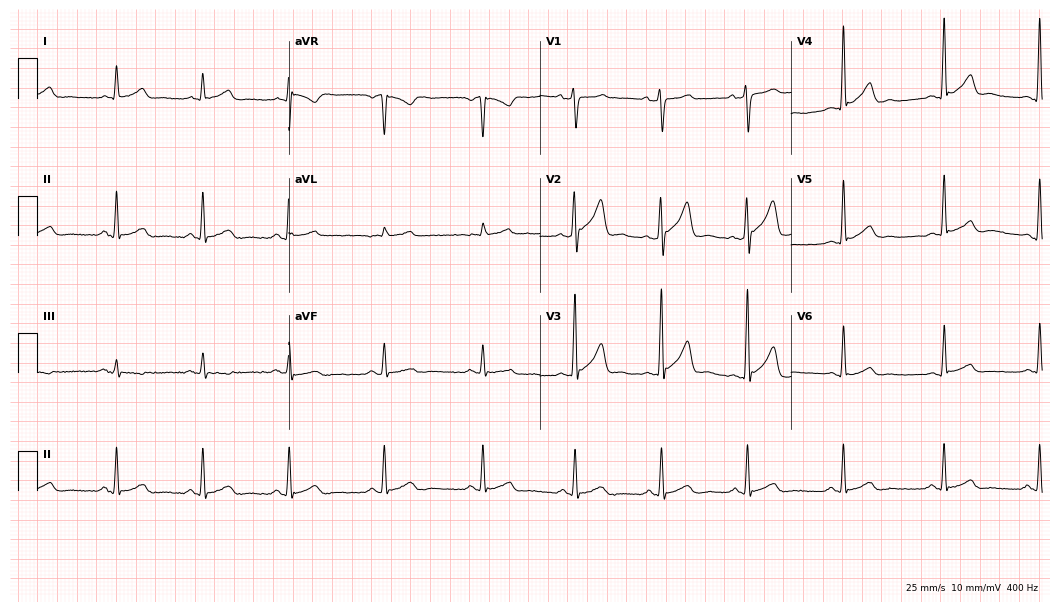
12-lead ECG from a male, 31 years old (10.2-second recording at 400 Hz). Recorded interpretation: within normal limits.